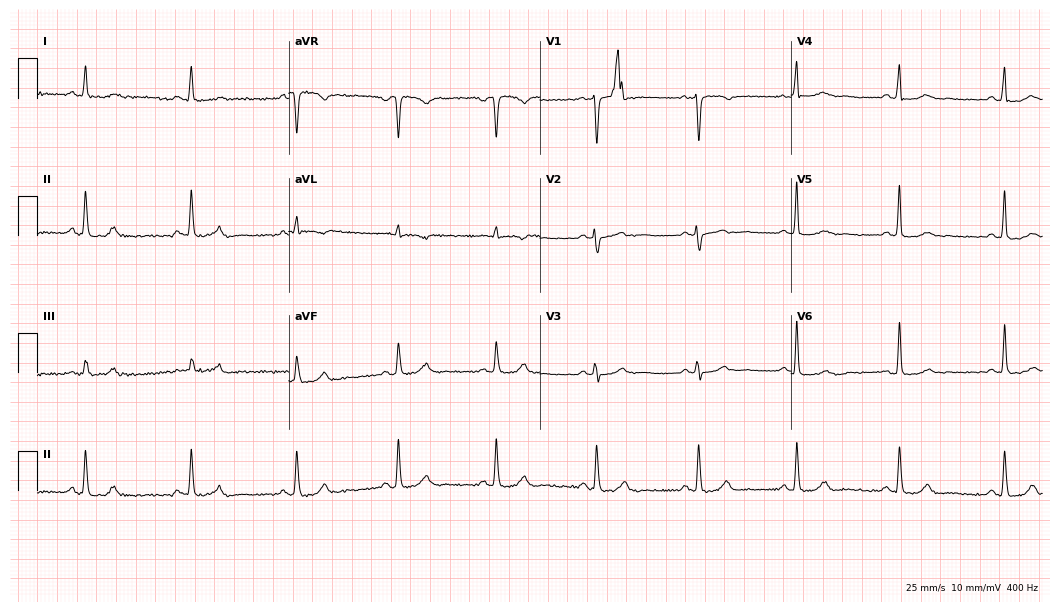
12-lead ECG from a woman, 54 years old (10.2-second recording at 400 Hz). No first-degree AV block, right bundle branch block, left bundle branch block, sinus bradycardia, atrial fibrillation or sinus tachycardia recorded for this tracing. Other findings, if any, are not listed.